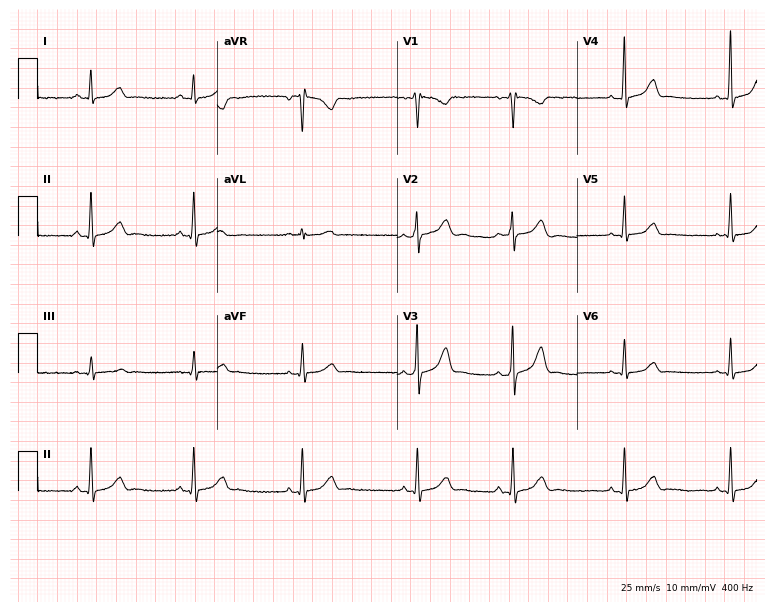
ECG — a female, 17 years old. Labelled as a normal ECG.